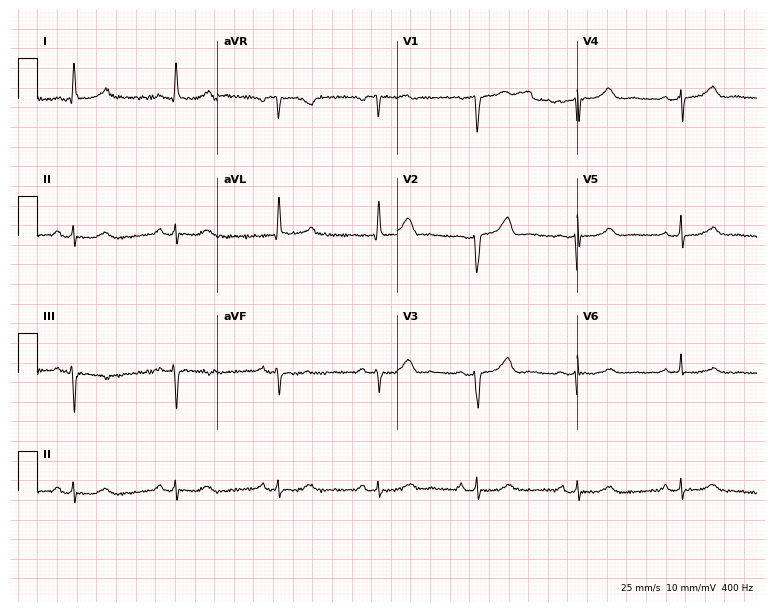
12-lead ECG from a female patient, 62 years old. No first-degree AV block, right bundle branch block, left bundle branch block, sinus bradycardia, atrial fibrillation or sinus tachycardia recorded for this tracing.